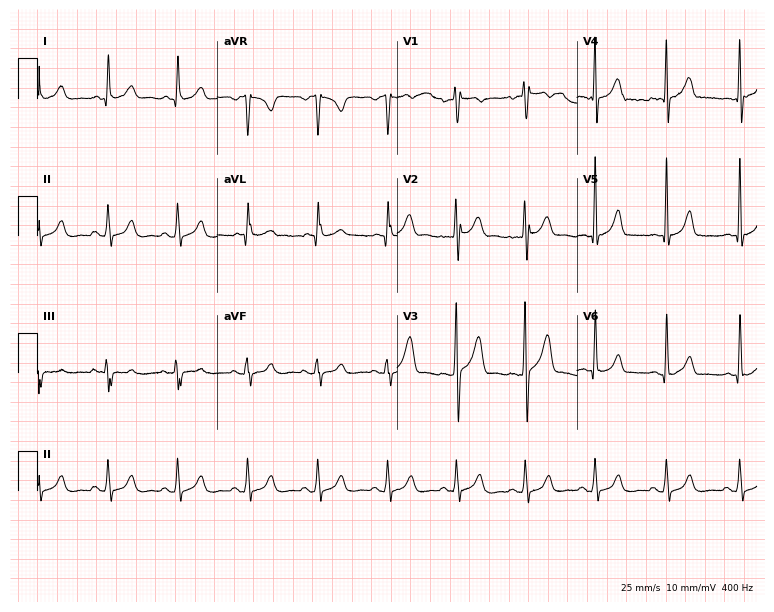
ECG (7.3-second recording at 400 Hz) — a 36-year-old man. Screened for six findings — first-degree AV block, right bundle branch block (RBBB), left bundle branch block (LBBB), sinus bradycardia, atrial fibrillation (AF), sinus tachycardia — none is recorded.